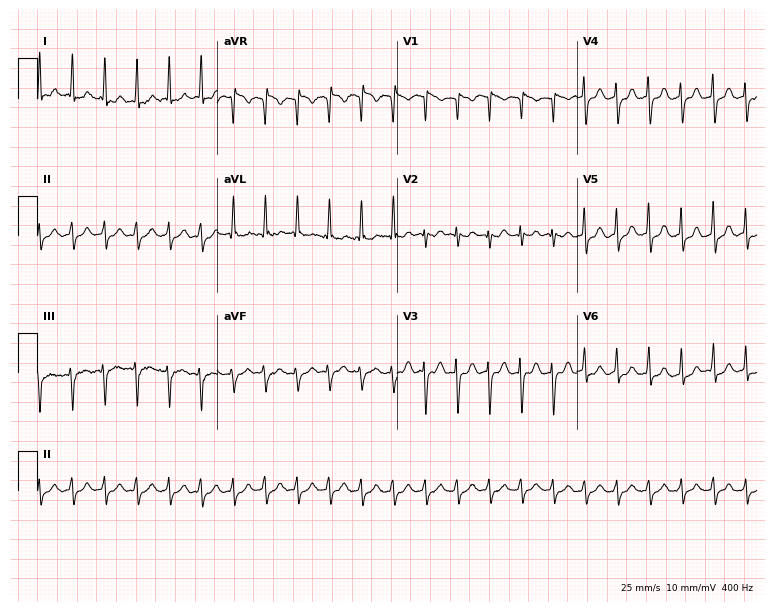
12-lead ECG from a 39-year-old woman. Screened for six findings — first-degree AV block, right bundle branch block, left bundle branch block, sinus bradycardia, atrial fibrillation, sinus tachycardia — none is recorded.